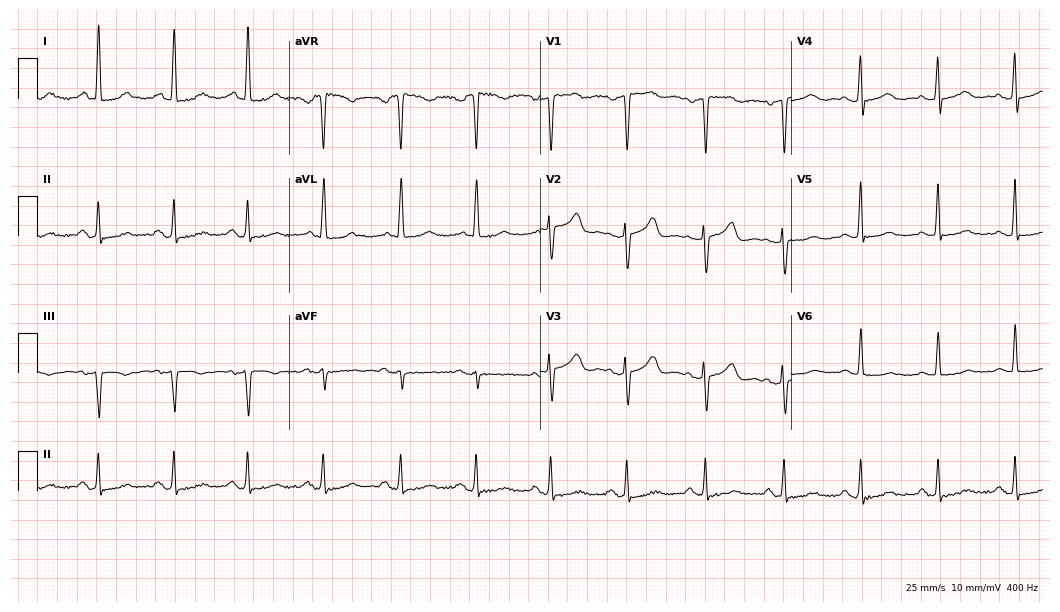
Standard 12-lead ECG recorded from a 55-year-old female. Read as a normal ECG.